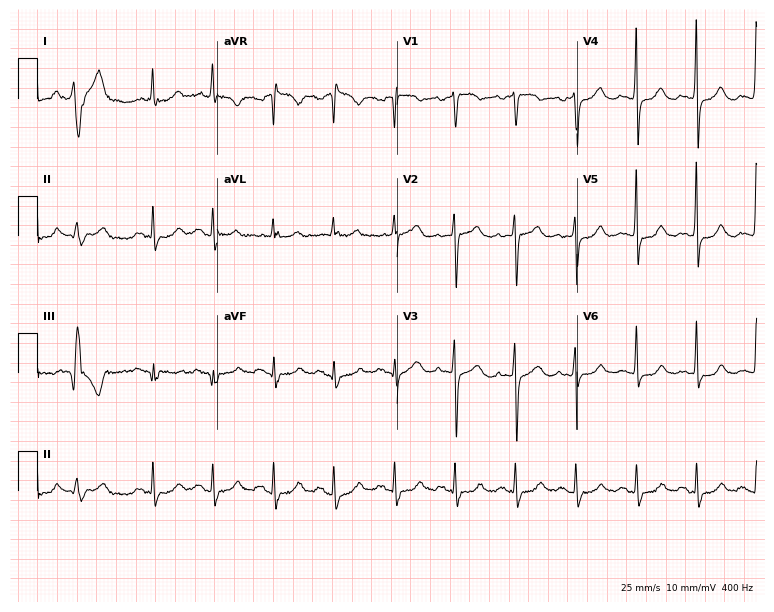
12-lead ECG from a woman, 76 years old. Screened for six findings — first-degree AV block, right bundle branch block, left bundle branch block, sinus bradycardia, atrial fibrillation, sinus tachycardia — none is recorded.